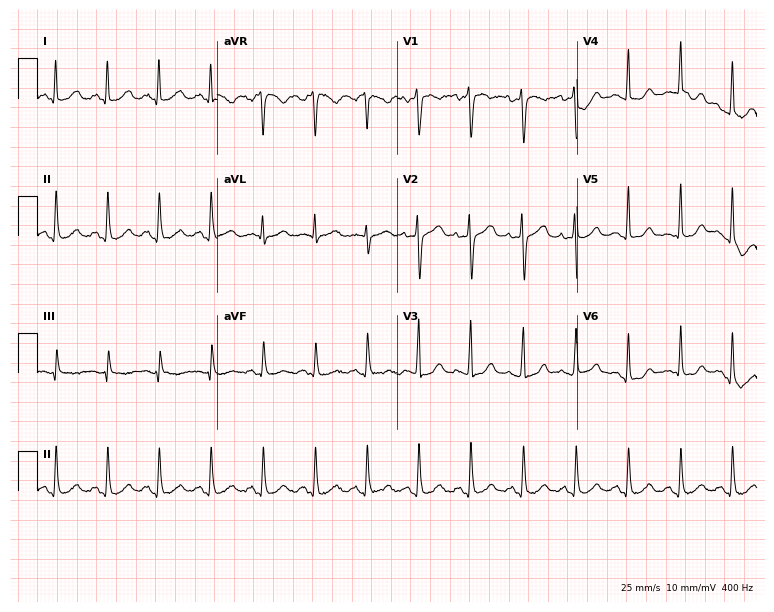
Electrocardiogram, a 33-year-old woman. Of the six screened findings (first-degree AV block, right bundle branch block, left bundle branch block, sinus bradycardia, atrial fibrillation, sinus tachycardia), none is recorded.